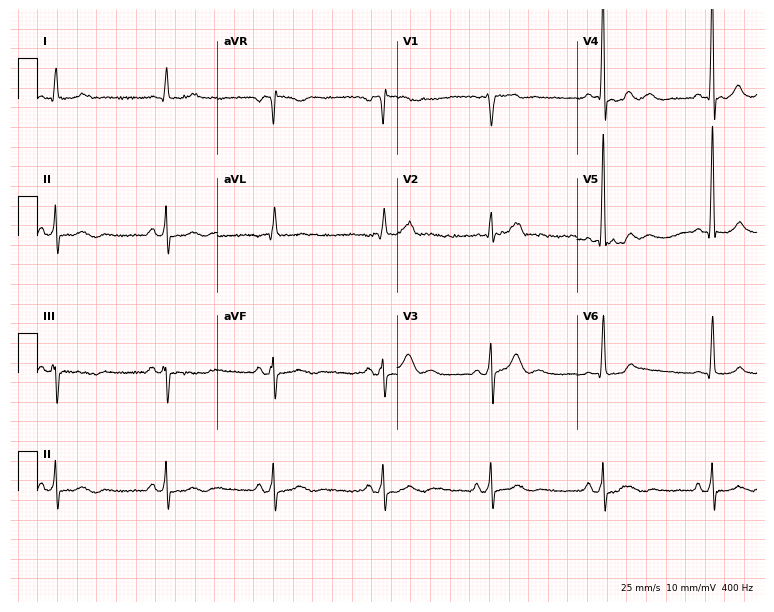
12-lead ECG from a male, 59 years old (7.3-second recording at 400 Hz). No first-degree AV block, right bundle branch block, left bundle branch block, sinus bradycardia, atrial fibrillation or sinus tachycardia recorded for this tracing. Other findings, if any, are not listed.